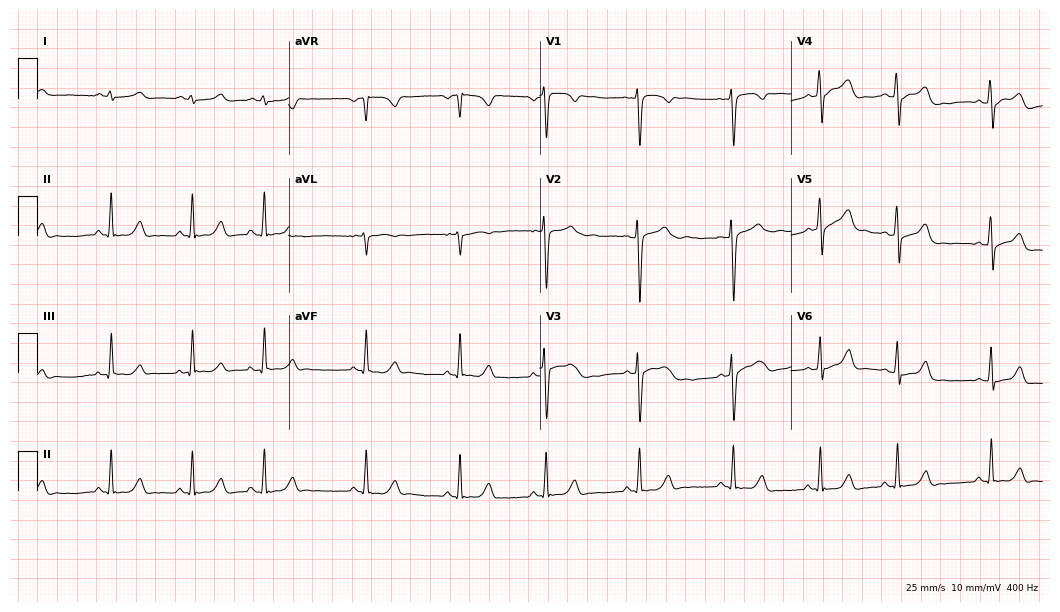
Resting 12-lead electrocardiogram. Patient: a 19-year-old female. None of these six findings is recorded: first-degree AV block, right bundle branch block, left bundle branch block, sinus bradycardia, atrial fibrillation, sinus tachycardia. Only these six findings were labelled.